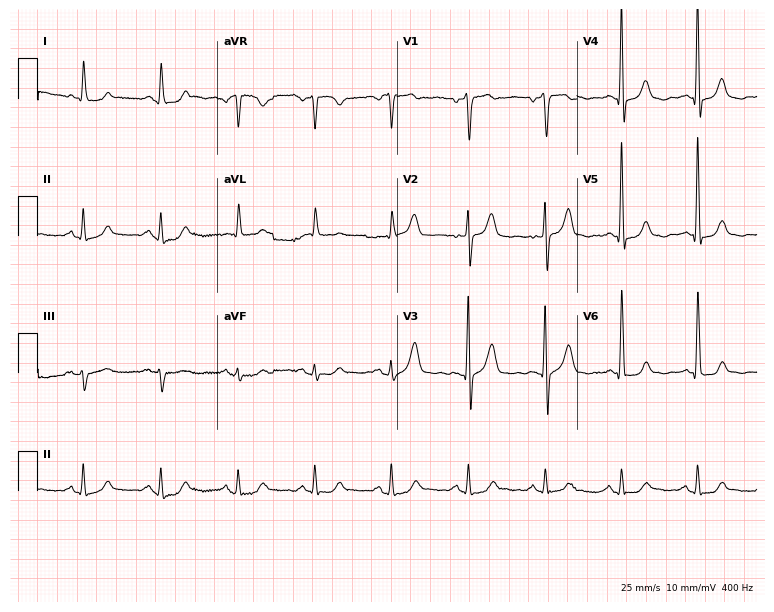
Resting 12-lead electrocardiogram (7.3-second recording at 400 Hz). Patient: a male, 75 years old. Read as a normal ECG.